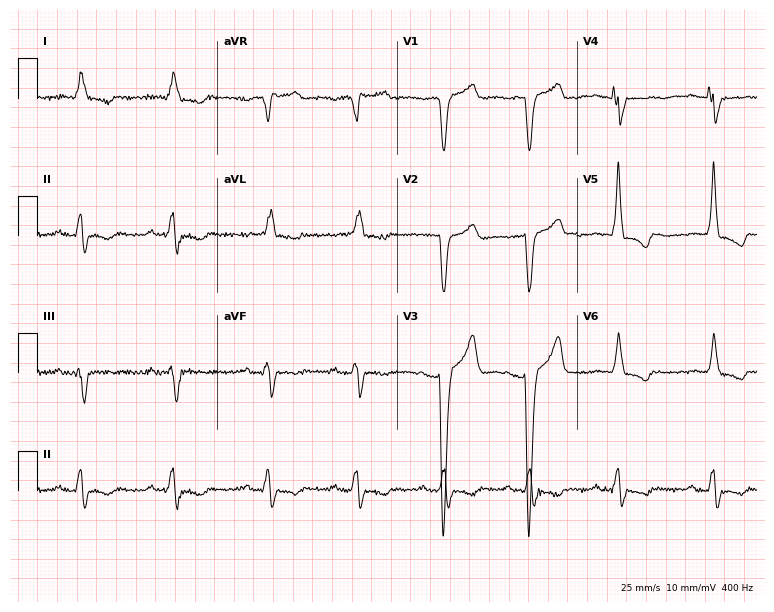
Electrocardiogram, a male patient, 83 years old. Interpretation includes left bundle branch block (LBBB).